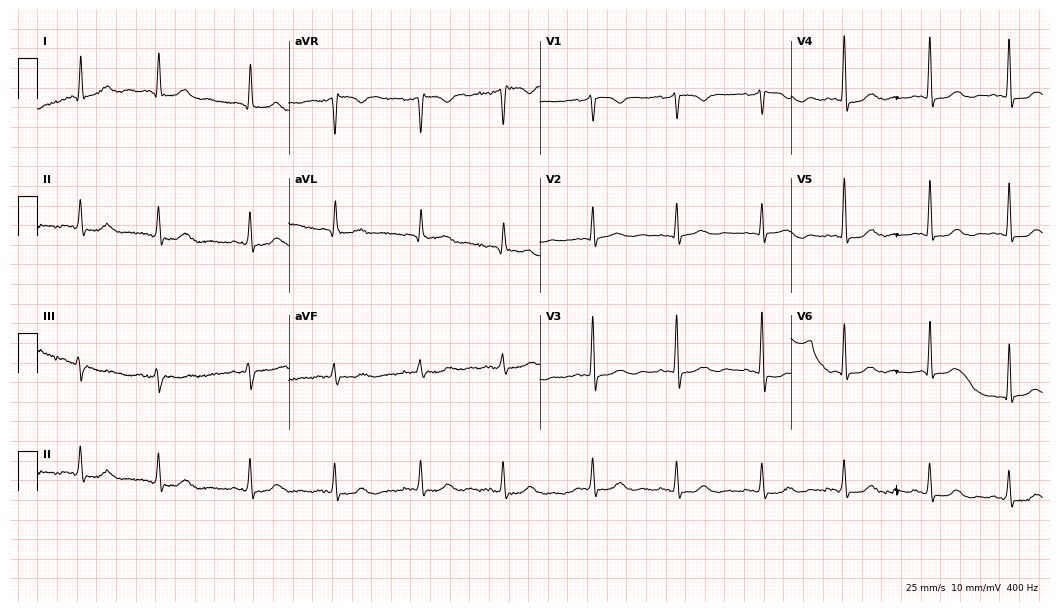
12-lead ECG from a woman, 71 years old. No first-degree AV block, right bundle branch block (RBBB), left bundle branch block (LBBB), sinus bradycardia, atrial fibrillation (AF) or sinus tachycardia recorded for this tracing.